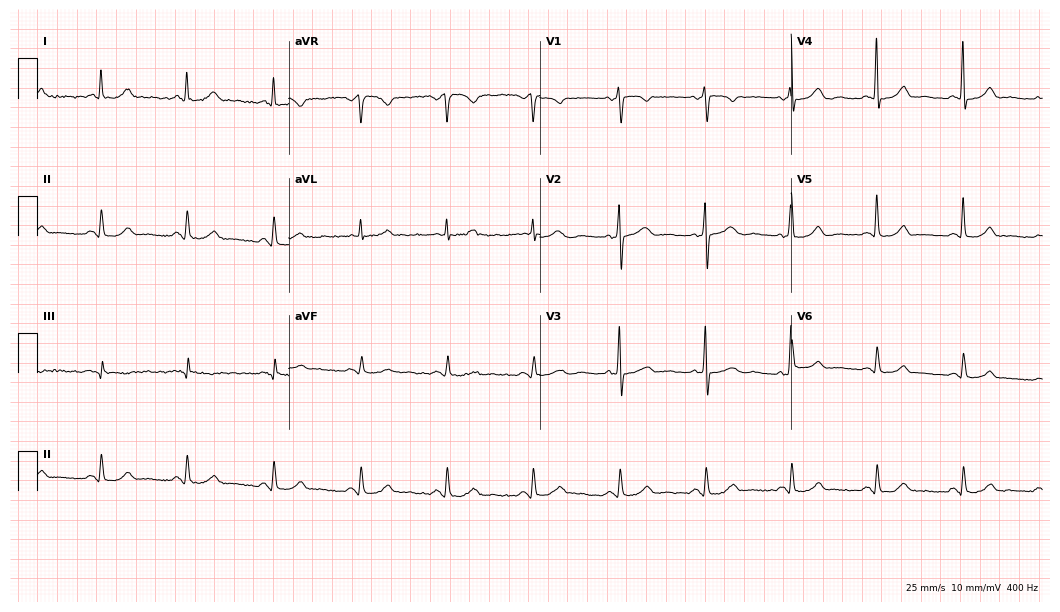
Electrocardiogram (10.2-second recording at 400 Hz), a 69-year-old woman. Overall reading on record: normal ECG.